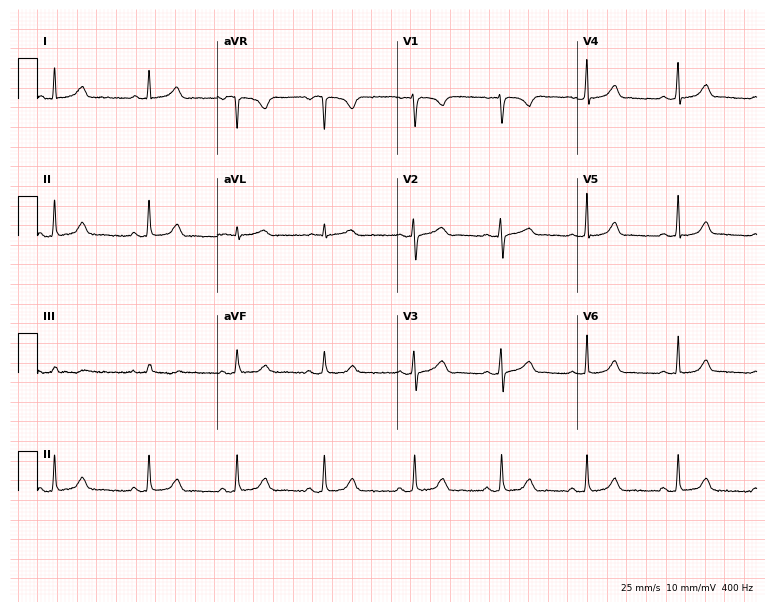
ECG — a 32-year-old woman. Labelled as a normal ECG.